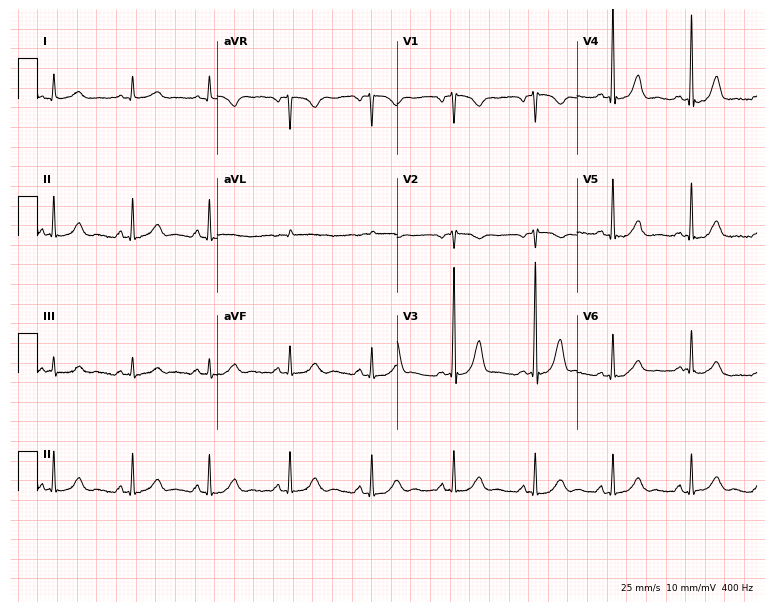
Standard 12-lead ECG recorded from a female patient, 56 years old. Read as a normal ECG.